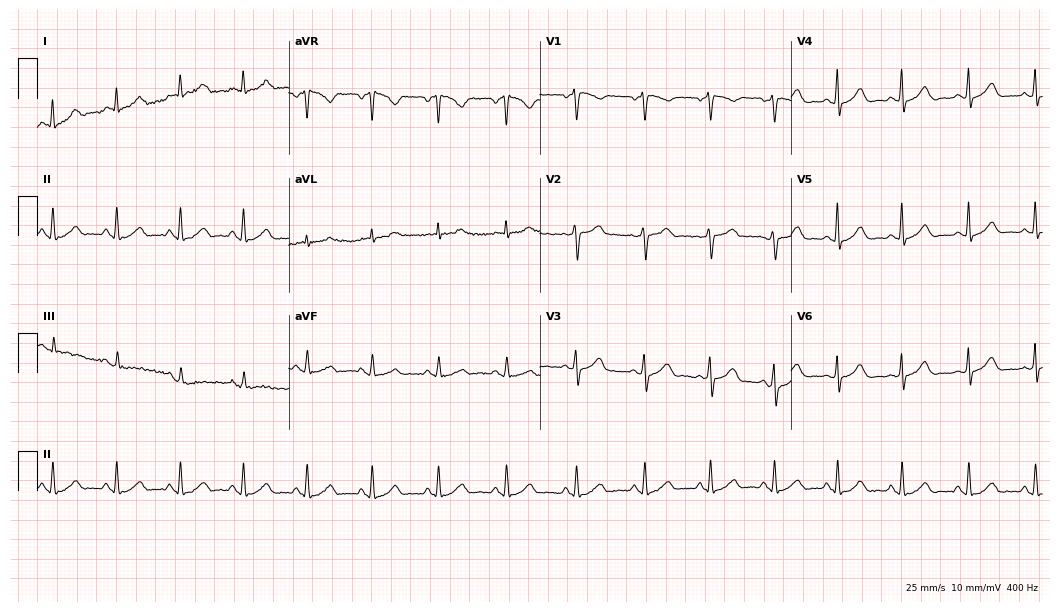
ECG (10.2-second recording at 400 Hz) — a male, 38 years old. Screened for six findings — first-degree AV block, right bundle branch block (RBBB), left bundle branch block (LBBB), sinus bradycardia, atrial fibrillation (AF), sinus tachycardia — none is recorded.